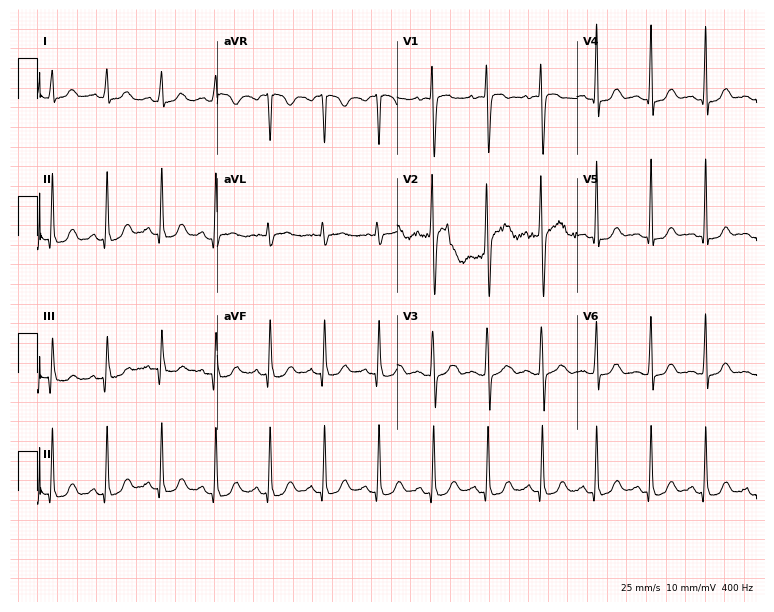
Resting 12-lead electrocardiogram (7.3-second recording at 400 Hz). Patient: a 29-year-old female. The tracing shows sinus tachycardia (a sinus rate of 100 beats per minute or more).